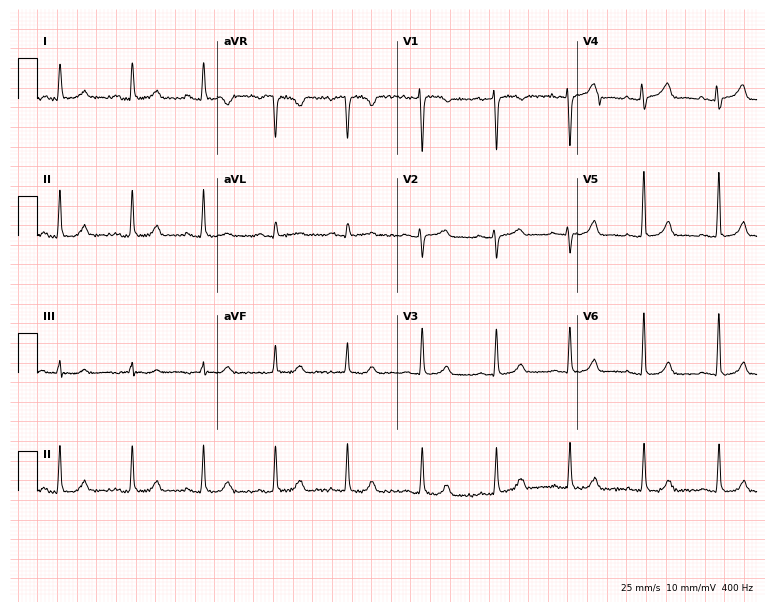
12-lead ECG from a female patient, 52 years old (7.3-second recording at 400 Hz). No first-degree AV block, right bundle branch block, left bundle branch block, sinus bradycardia, atrial fibrillation or sinus tachycardia recorded for this tracing.